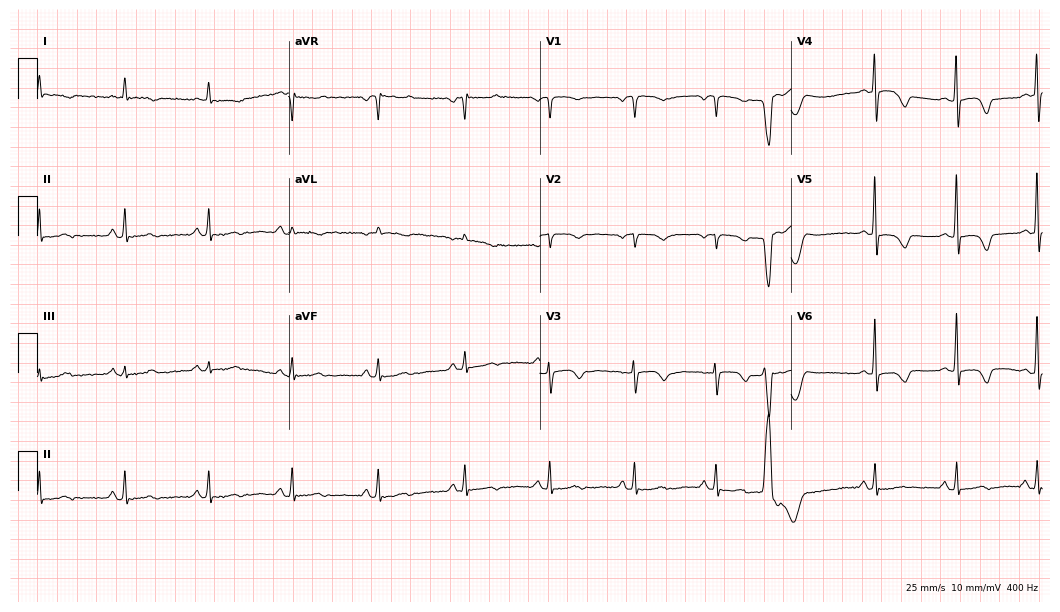
12-lead ECG (10.2-second recording at 400 Hz) from a female patient, 77 years old. Labelled as a normal ECG.